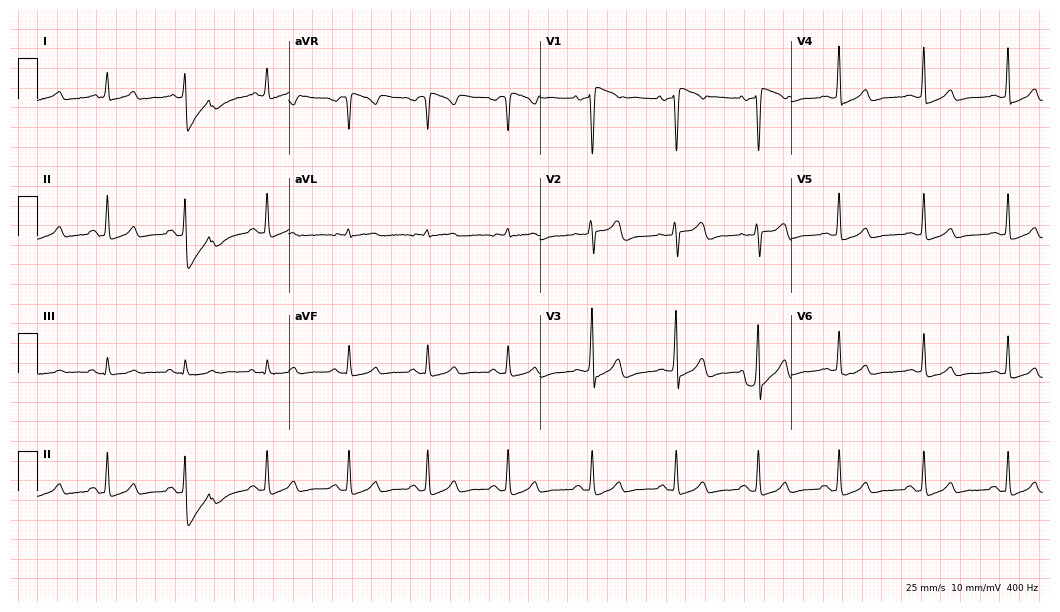
Standard 12-lead ECG recorded from a female, 37 years old. None of these six findings is recorded: first-degree AV block, right bundle branch block, left bundle branch block, sinus bradycardia, atrial fibrillation, sinus tachycardia.